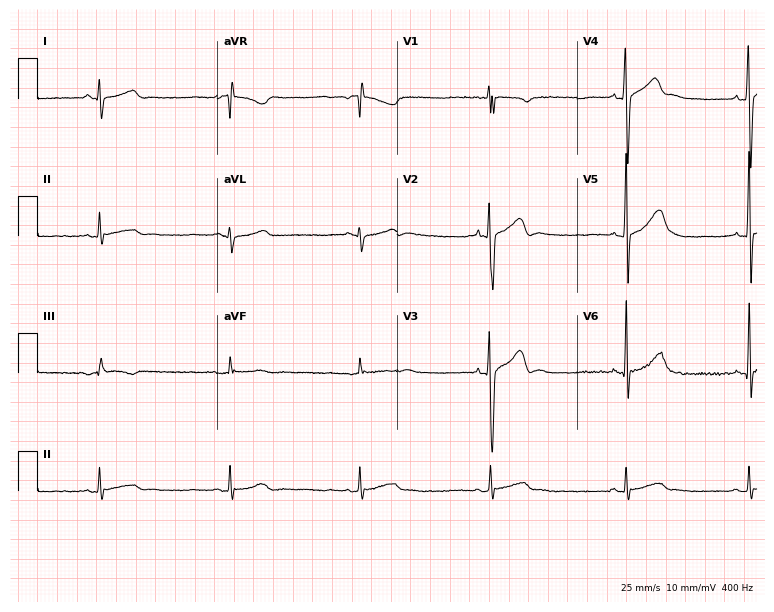
ECG (7.3-second recording at 400 Hz) — an 18-year-old male patient. Findings include sinus bradycardia (a sinus rate of 50 beats per minute or less).